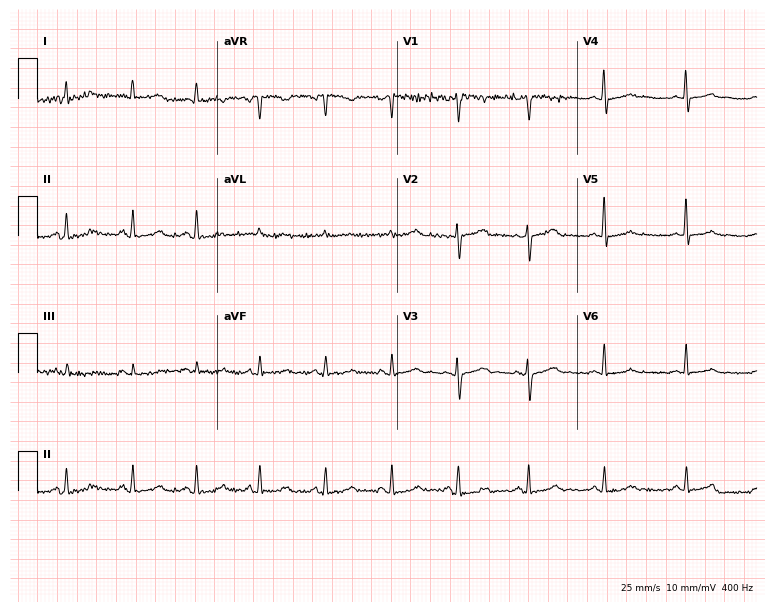
12-lead ECG (7.3-second recording at 400 Hz) from a 44-year-old woman. Labelled as a normal ECG.